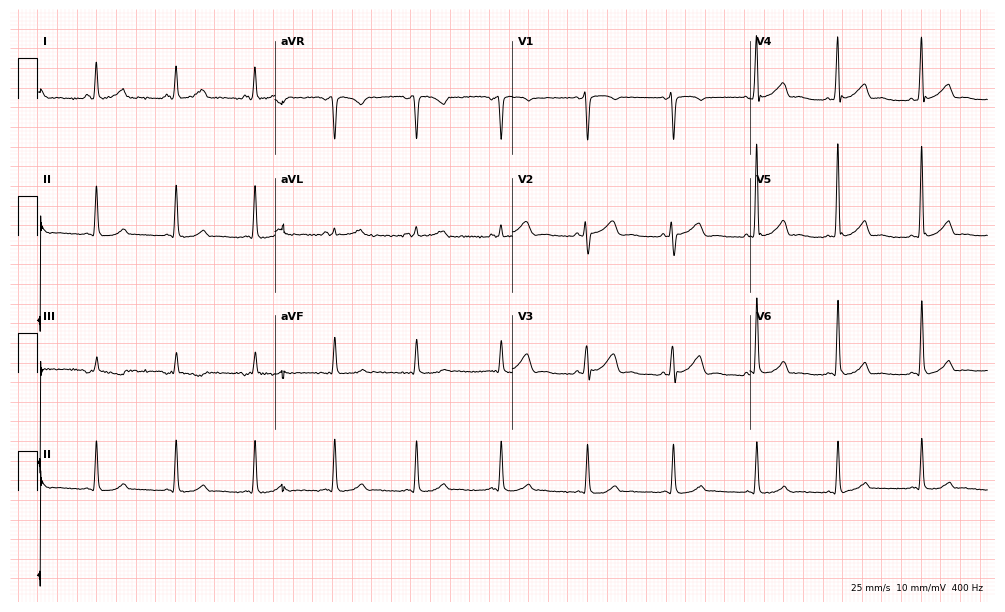
ECG — a 45-year-old female. Labelled as a normal ECG.